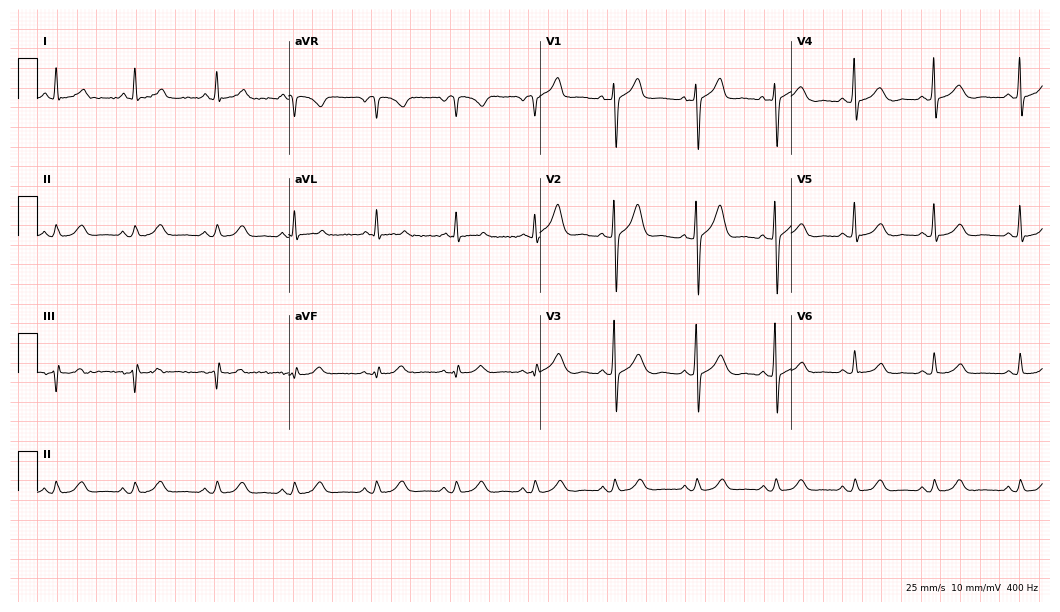
ECG — a 62-year-old male. Screened for six findings — first-degree AV block, right bundle branch block, left bundle branch block, sinus bradycardia, atrial fibrillation, sinus tachycardia — none is recorded. Other findings, if any, are not listed.